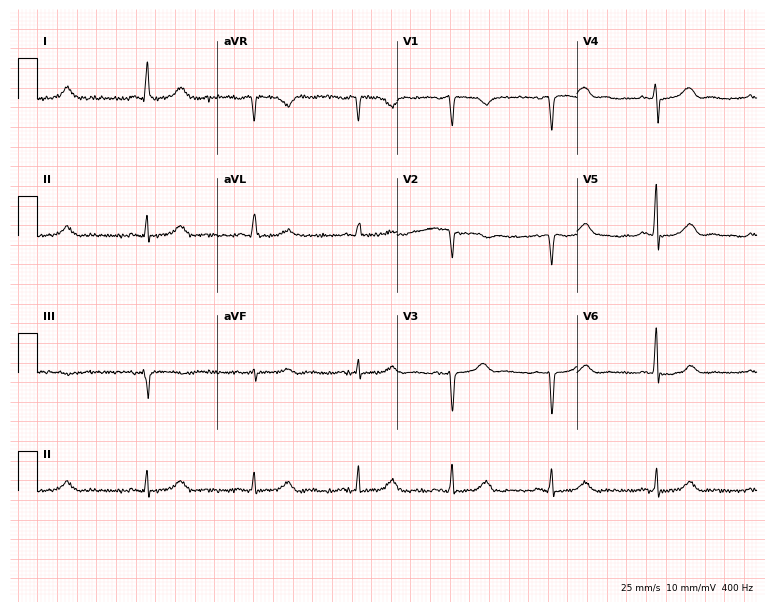
Standard 12-lead ECG recorded from a 79-year-old woman. None of these six findings is recorded: first-degree AV block, right bundle branch block (RBBB), left bundle branch block (LBBB), sinus bradycardia, atrial fibrillation (AF), sinus tachycardia. Other findings, if any, are not listed.